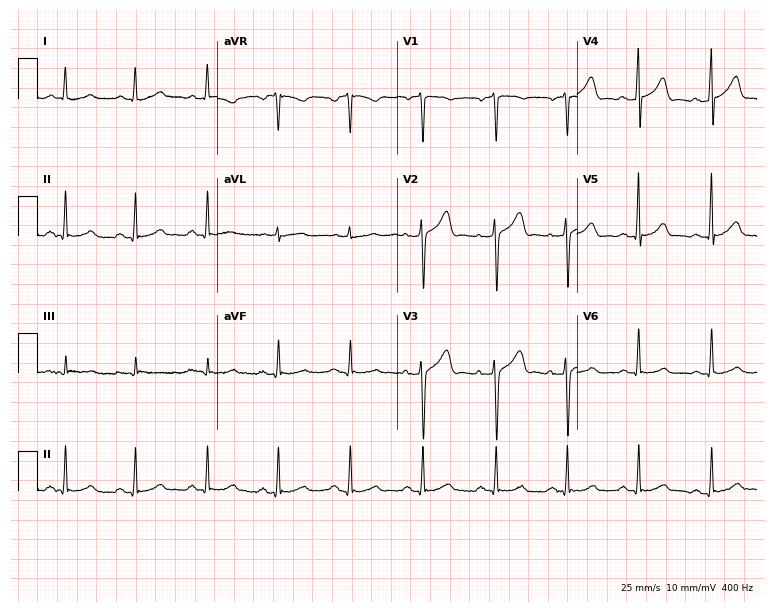
12-lead ECG from a man, 51 years old. Labelled as a normal ECG.